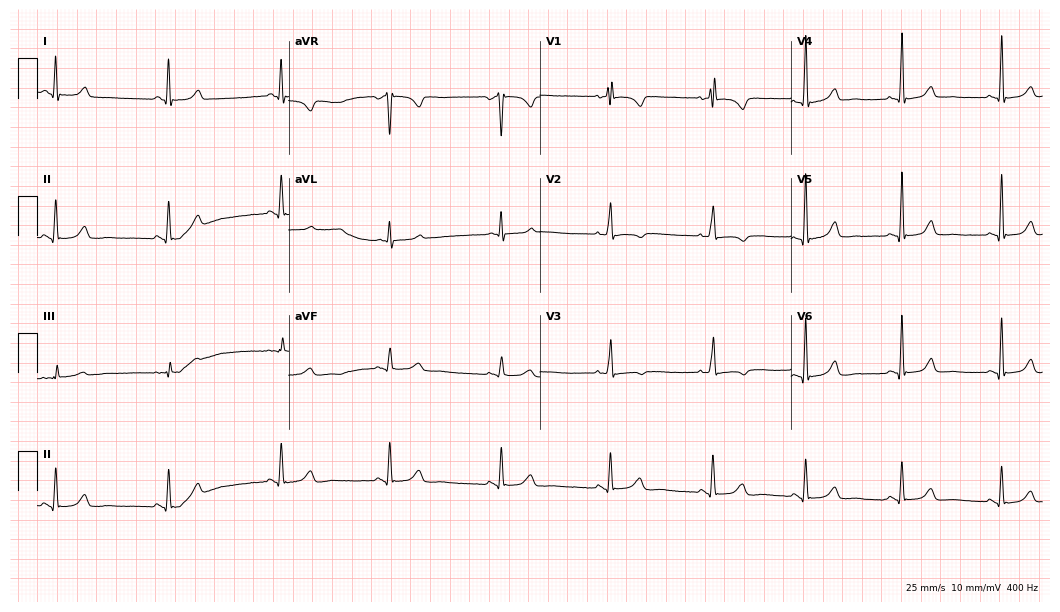
12-lead ECG from a female, 54 years old (10.2-second recording at 400 Hz). No first-degree AV block, right bundle branch block (RBBB), left bundle branch block (LBBB), sinus bradycardia, atrial fibrillation (AF) or sinus tachycardia recorded for this tracing. Other findings, if any, are not listed.